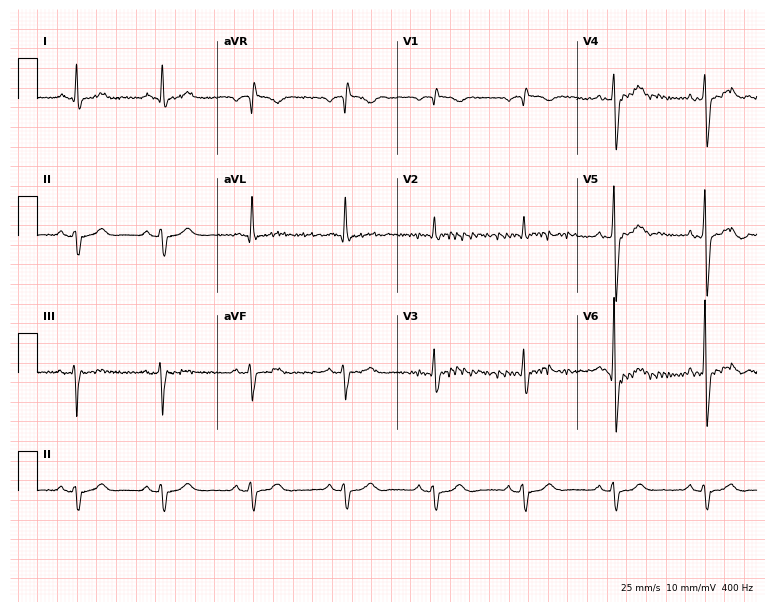
Resting 12-lead electrocardiogram (7.3-second recording at 400 Hz). Patient: a male, 61 years old. Read as a normal ECG.